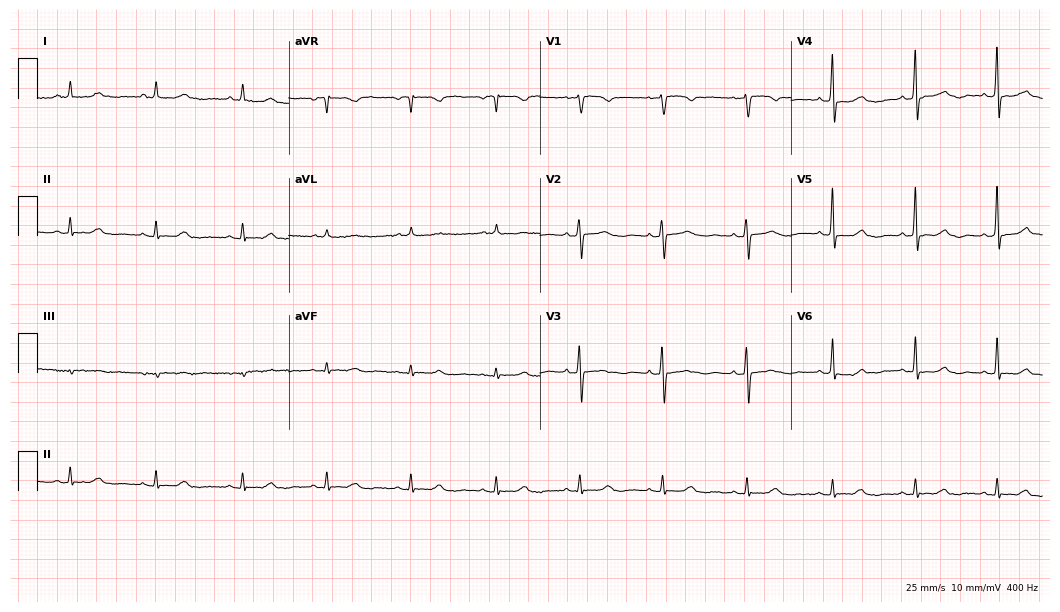
12-lead ECG from a female patient, 74 years old. Labelled as a normal ECG.